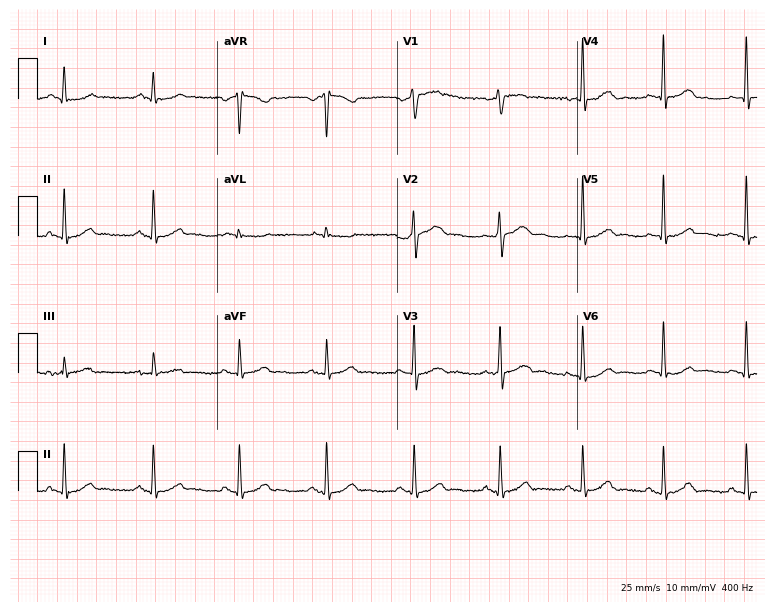
Standard 12-lead ECG recorded from a male, 60 years old (7.3-second recording at 400 Hz). Read as a normal ECG.